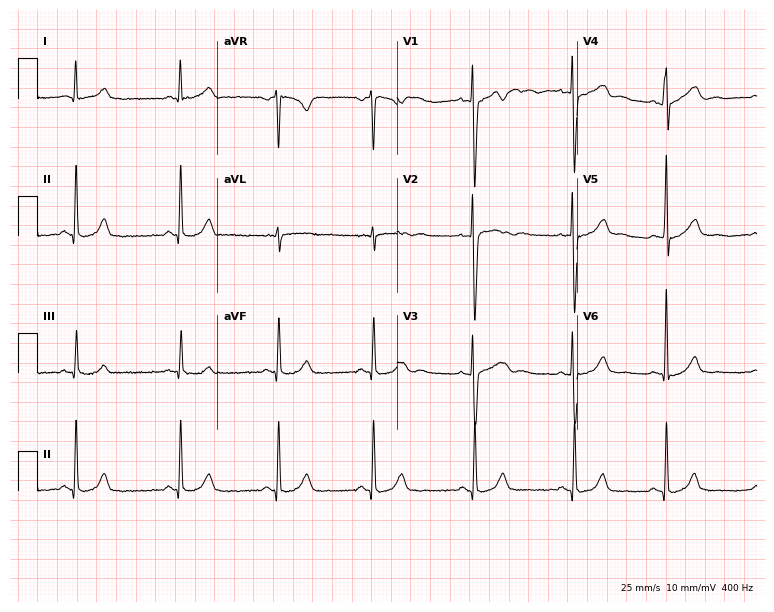
ECG — a man, 34 years old. Screened for six findings — first-degree AV block, right bundle branch block (RBBB), left bundle branch block (LBBB), sinus bradycardia, atrial fibrillation (AF), sinus tachycardia — none is recorded. Other findings, if any, are not listed.